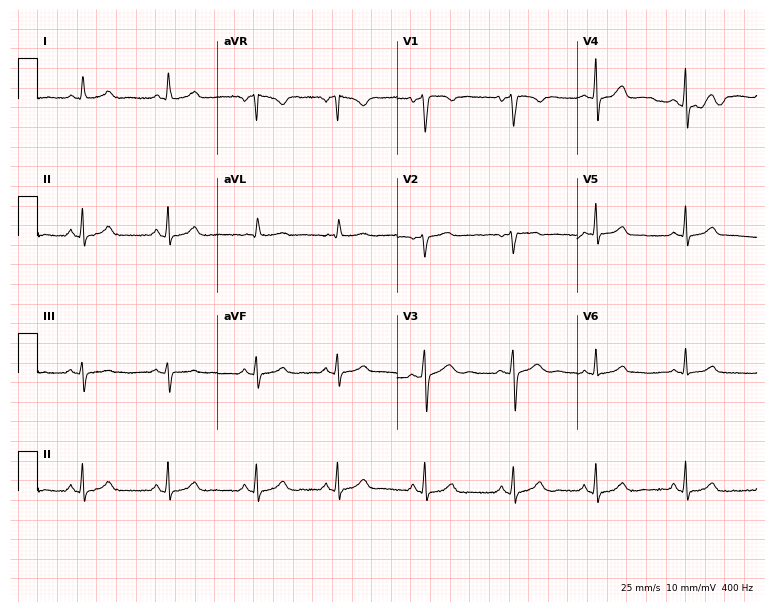
Standard 12-lead ECG recorded from a woman, 35 years old. Read as a normal ECG.